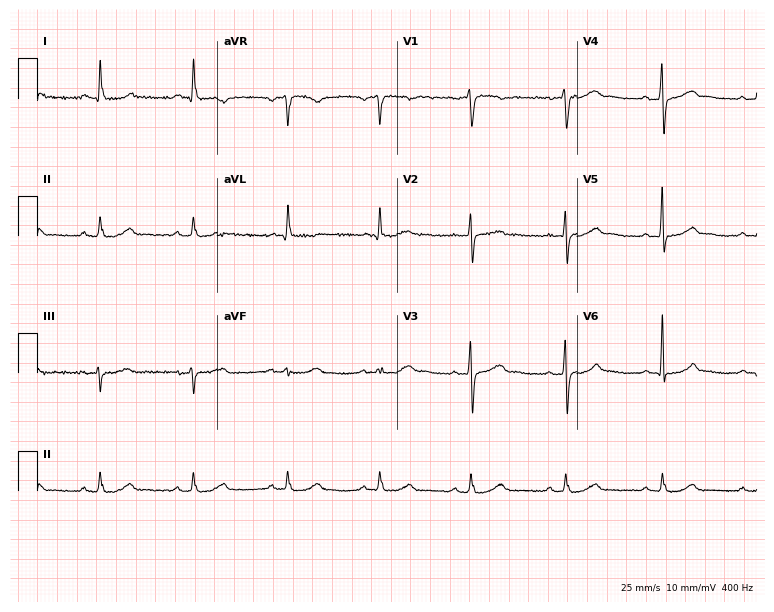
12-lead ECG from a male, 48 years old (7.3-second recording at 400 Hz). Recorded interpretation: within normal limits.